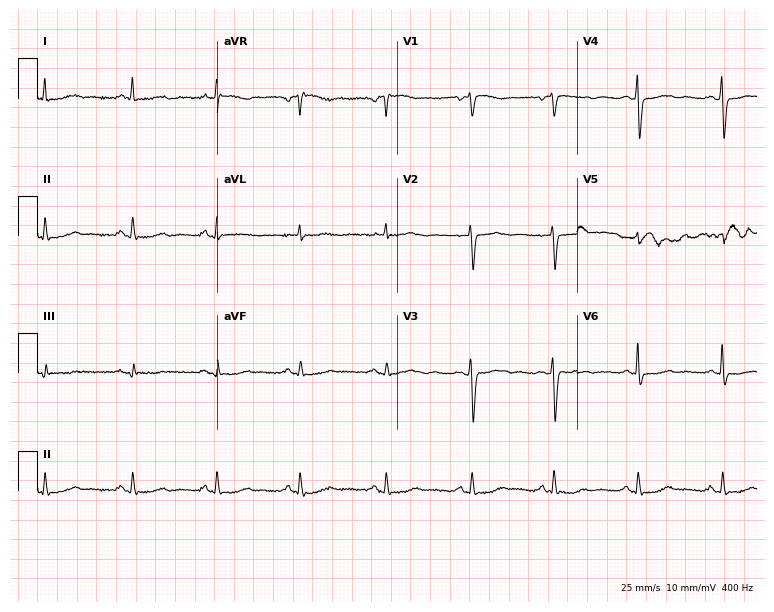
Resting 12-lead electrocardiogram (7.3-second recording at 400 Hz). Patient: a 75-year-old female. None of these six findings is recorded: first-degree AV block, right bundle branch block, left bundle branch block, sinus bradycardia, atrial fibrillation, sinus tachycardia.